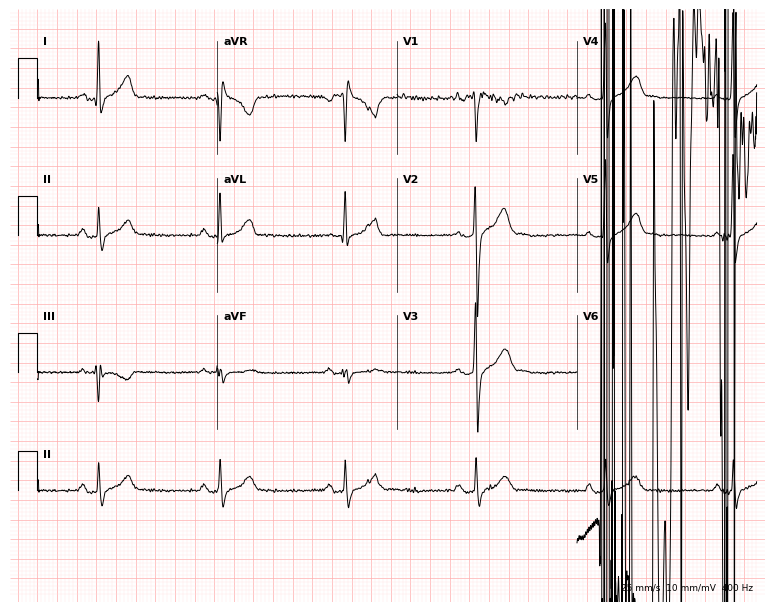
Electrocardiogram (7.3-second recording at 400 Hz), a male patient, 31 years old. Interpretation includes sinus tachycardia (a sinus rate of 100 beats per minute or more).